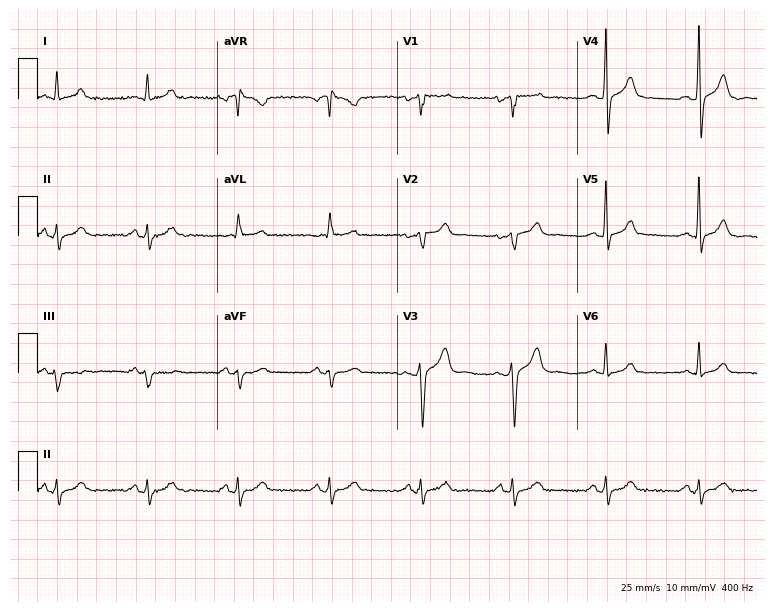
ECG (7.3-second recording at 400 Hz) — a 62-year-old male patient. Labelled as a normal ECG.